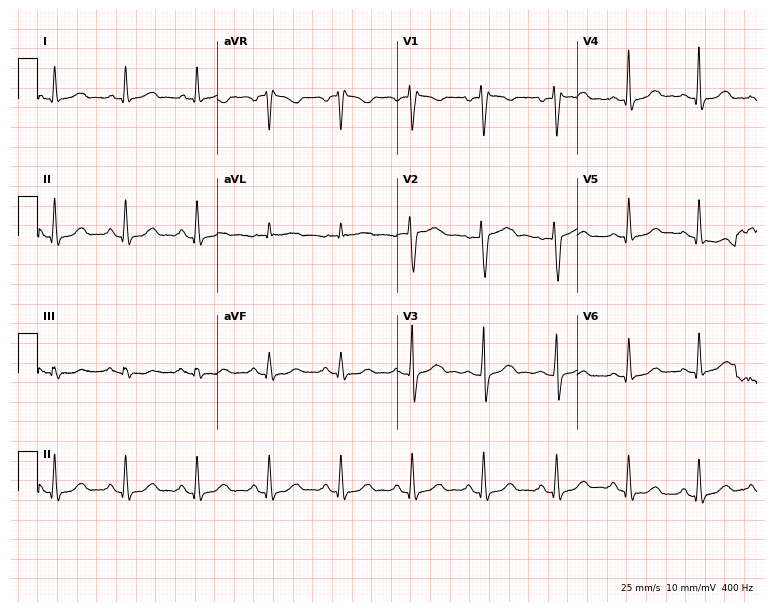
12-lead ECG (7.3-second recording at 400 Hz) from a female patient, 49 years old. Screened for six findings — first-degree AV block, right bundle branch block, left bundle branch block, sinus bradycardia, atrial fibrillation, sinus tachycardia — none is recorded.